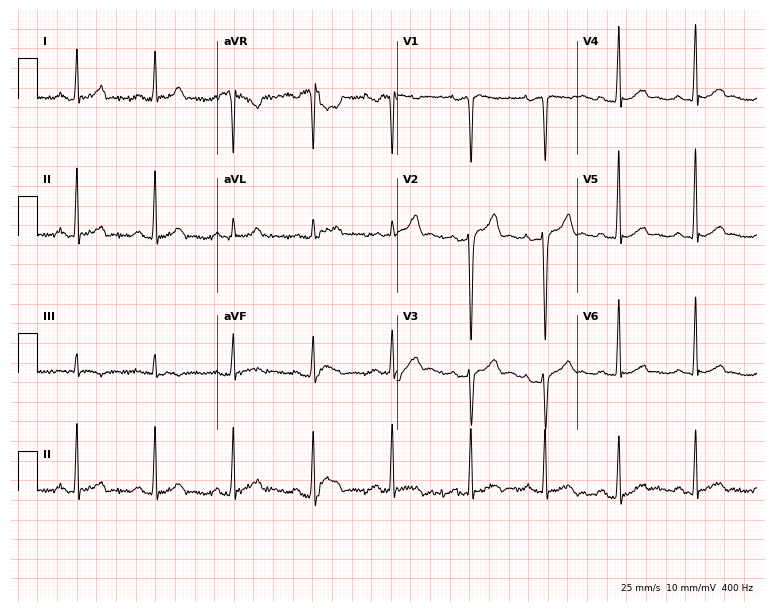
Standard 12-lead ECG recorded from a male, 30 years old. Read as a normal ECG.